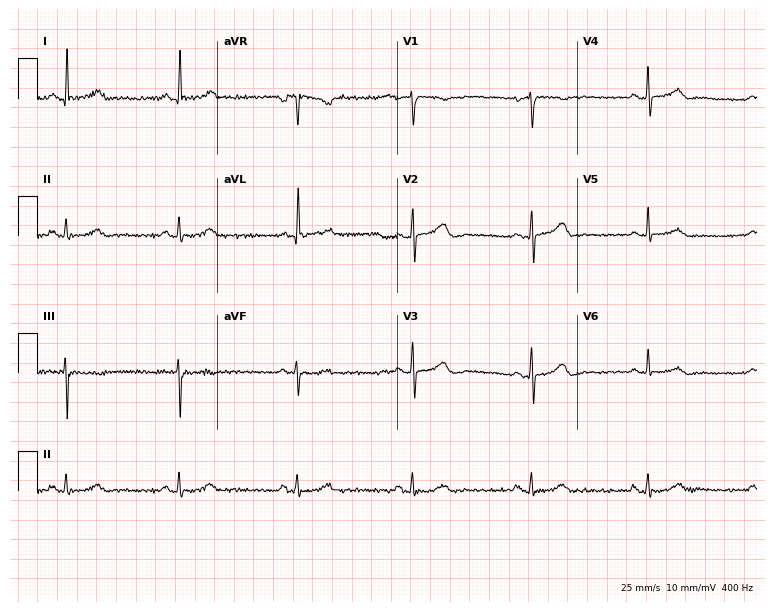
Resting 12-lead electrocardiogram (7.3-second recording at 400 Hz). Patient: a female, 46 years old. None of these six findings is recorded: first-degree AV block, right bundle branch block, left bundle branch block, sinus bradycardia, atrial fibrillation, sinus tachycardia.